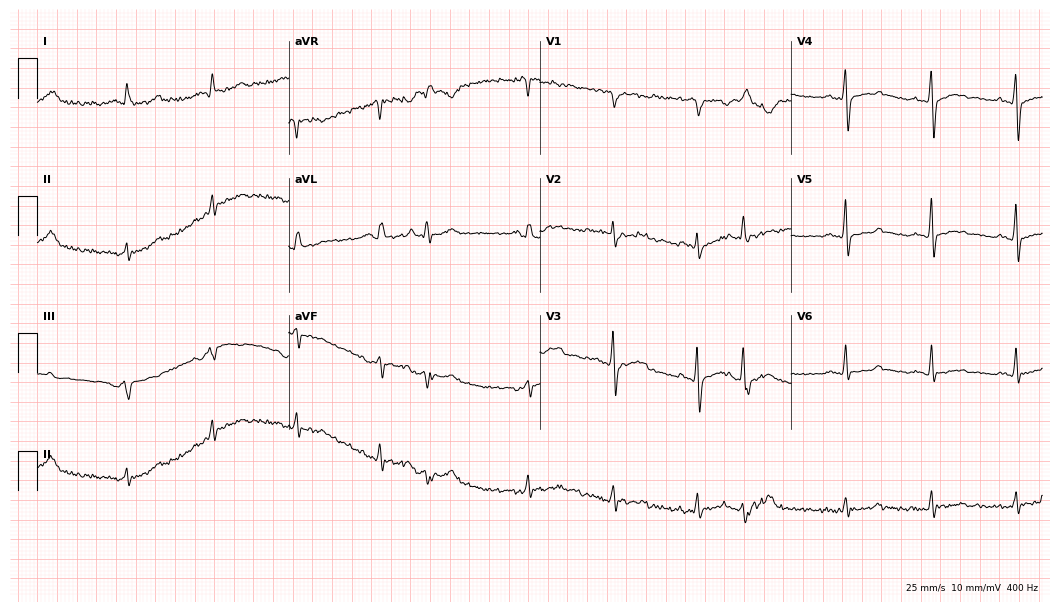
Electrocardiogram (10.2-second recording at 400 Hz), a 70-year-old man. Of the six screened findings (first-degree AV block, right bundle branch block, left bundle branch block, sinus bradycardia, atrial fibrillation, sinus tachycardia), none is recorded. Findings outside these six are not listed.